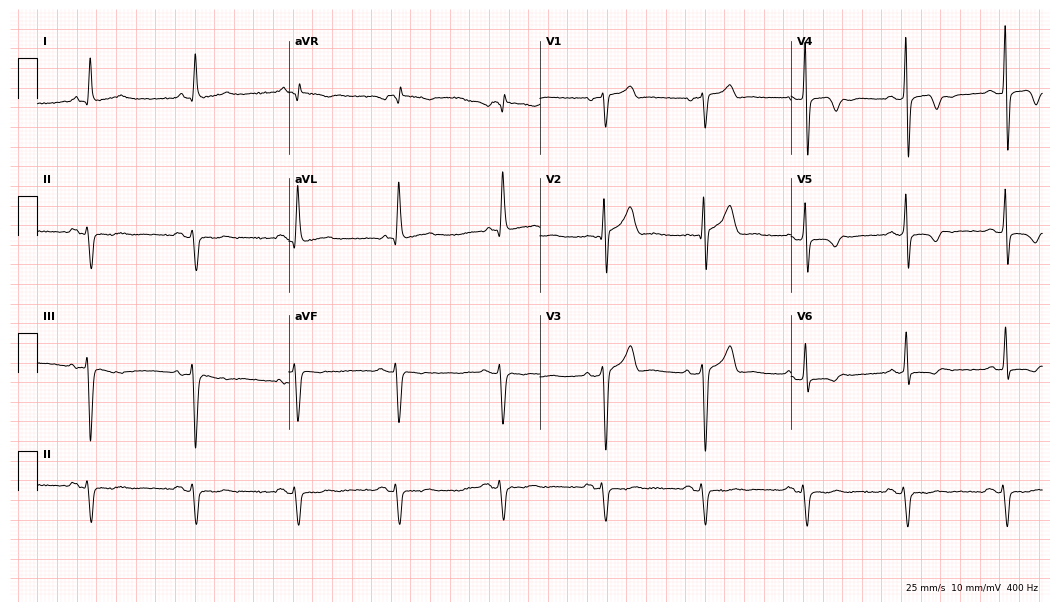
12-lead ECG (10.2-second recording at 400 Hz) from a male patient, 61 years old. Screened for six findings — first-degree AV block, right bundle branch block, left bundle branch block, sinus bradycardia, atrial fibrillation, sinus tachycardia — none is recorded. Only these six findings were labelled.